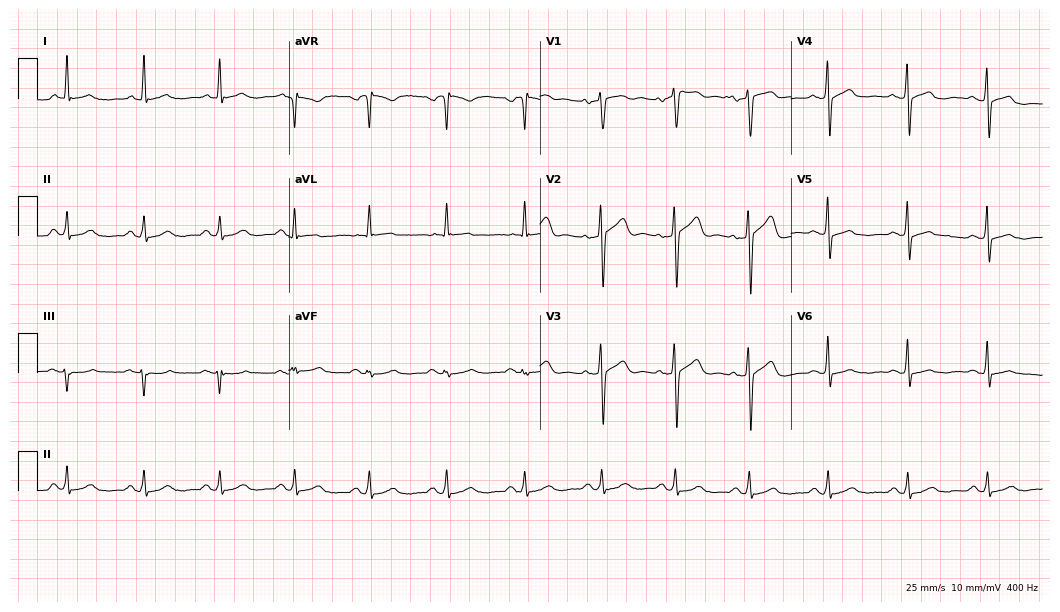
Standard 12-lead ECG recorded from a 53-year-old male patient. Read as a normal ECG.